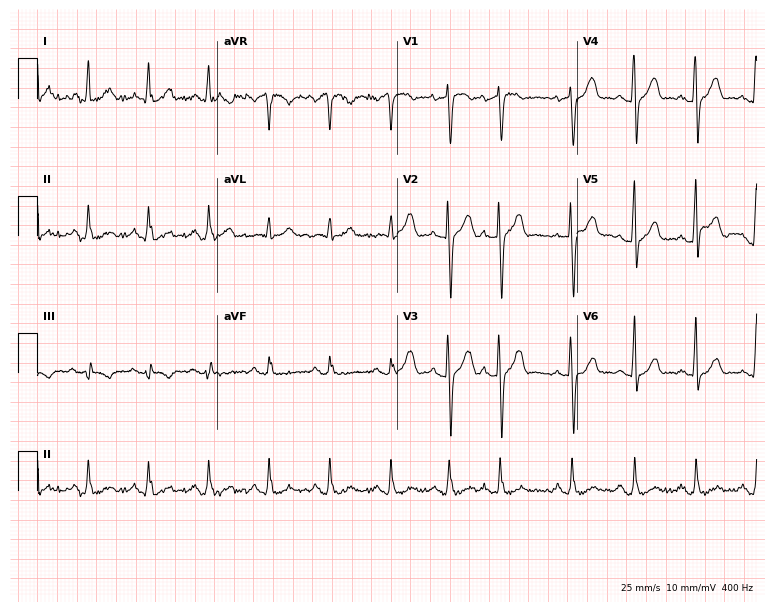
Standard 12-lead ECG recorded from a male, 69 years old (7.3-second recording at 400 Hz). None of these six findings is recorded: first-degree AV block, right bundle branch block (RBBB), left bundle branch block (LBBB), sinus bradycardia, atrial fibrillation (AF), sinus tachycardia. Other findings, if any, are not listed.